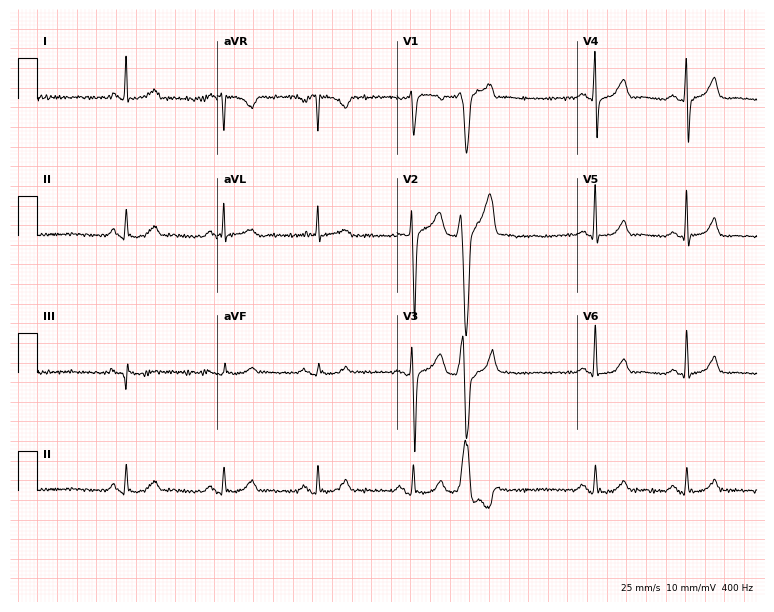
ECG — a male patient, 63 years old. Screened for six findings — first-degree AV block, right bundle branch block, left bundle branch block, sinus bradycardia, atrial fibrillation, sinus tachycardia — none is recorded. Only these six findings were labelled.